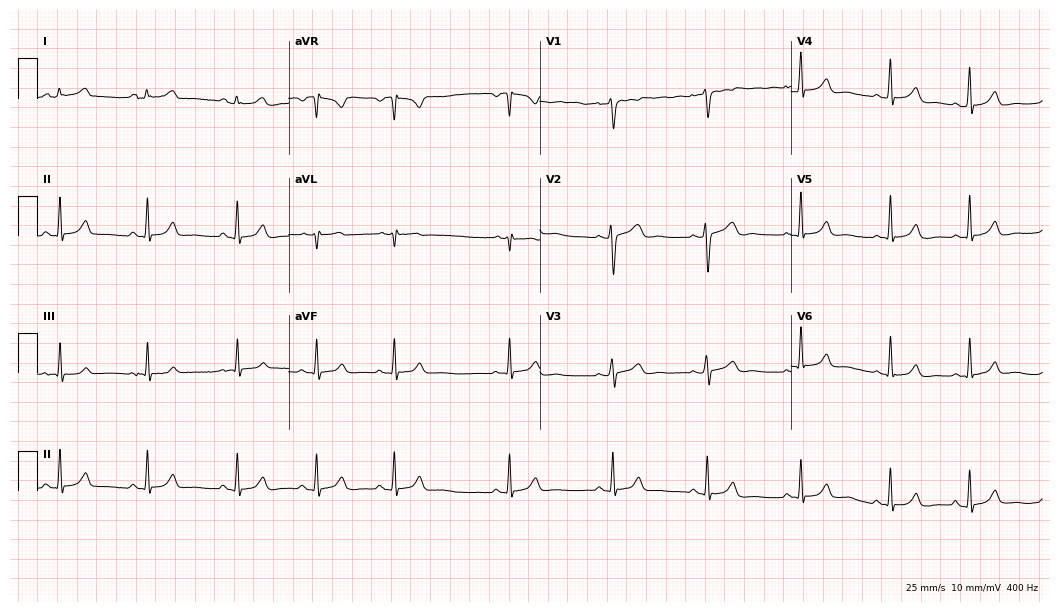
Resting 12-lead electrocardiogram (10.2-second recording at 400 Hz). Patient: a woman, 28 years old. Read as a normal ECG.